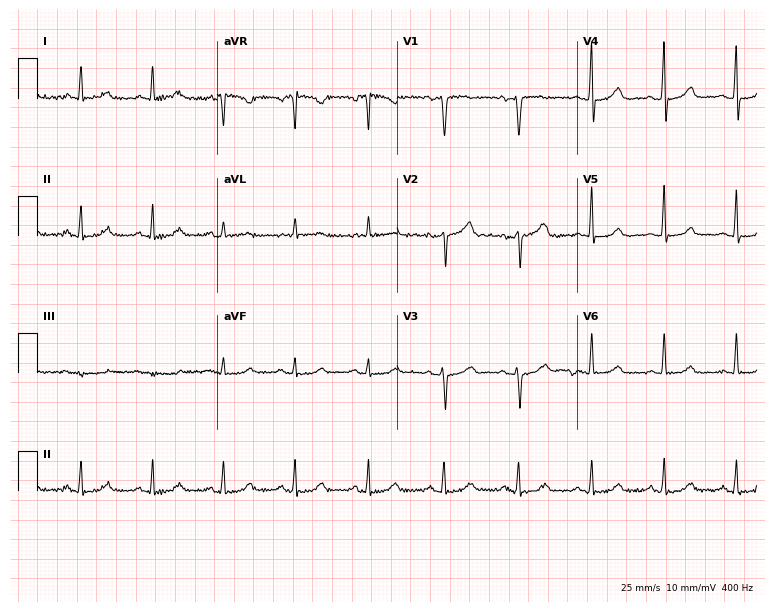
12-lead ECG from a female, 61 years old. Recorded interpretation: within normal limits.